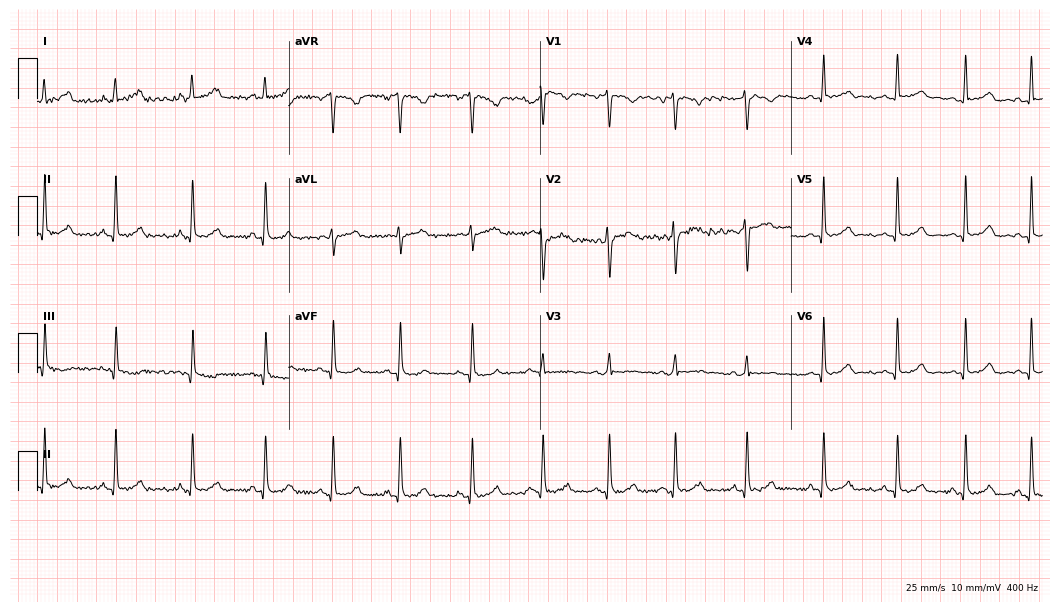
12-lead ECG from a male, 45 years old (10.2-second recording at 400 Hz). Recorded interpretation: within normal limits.